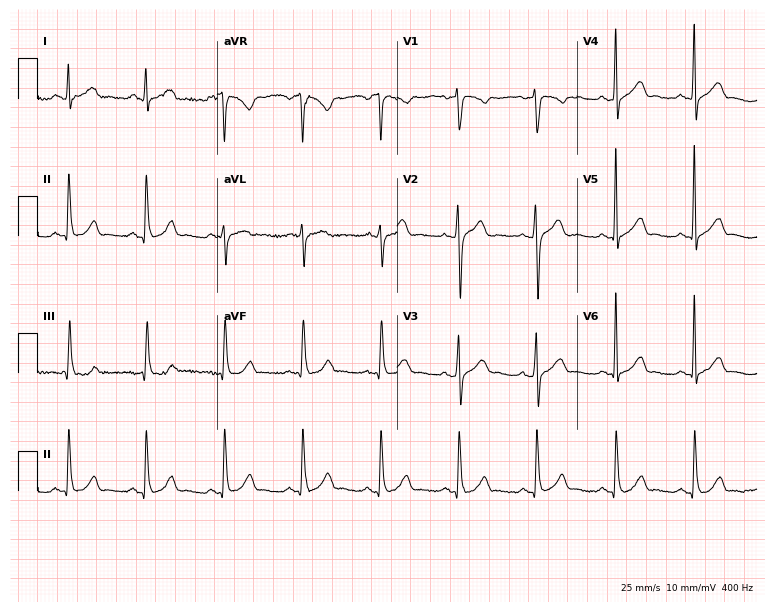
Resting 12-lead electrocardiogram. Patient: a 45-year-old man. Read as a normal ECG.